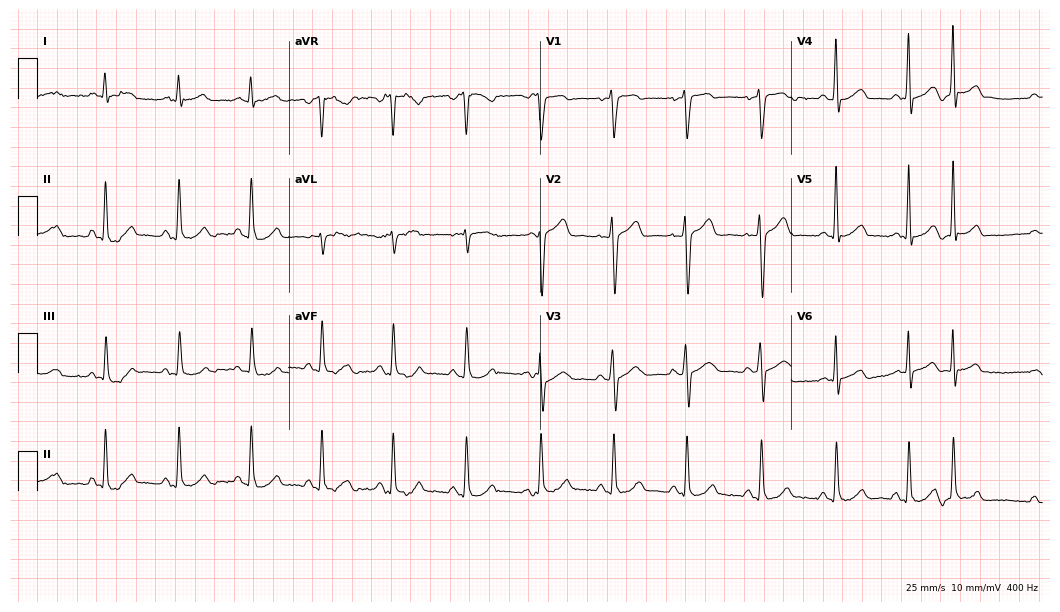
Resting 12-lead electrocardiogram (10.2-second recording at 400 Hz). Patient: a man, 41 years old. None of these six findings is recorded: first-degree AV block, right bundle branch block, left bundle branch block, sinus bradycardia, atrial fibrillation, sinus tachycardia. Other findings, if any, are not listed.